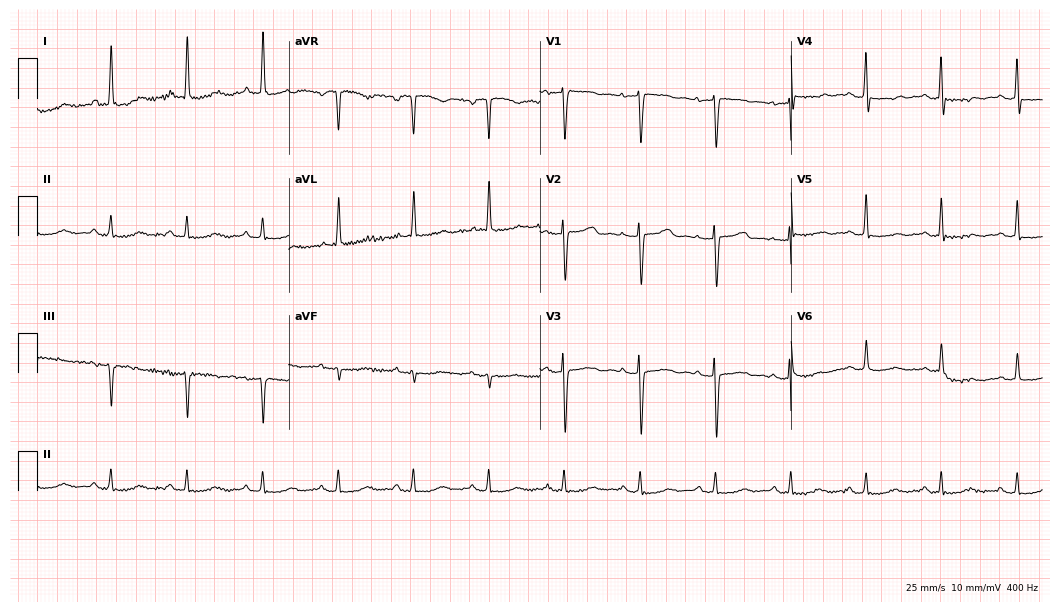
Standard 12-lead ECG recorded from a female, 78 years old (10.2-second recording at 400 Hz). None of these six findings is recorded: first-degree AV block, right bundle branch block (RBBB), left bundle branch block (LBBB), sinus bradycardia, atrial fibrillation (AF), sinus tachycardia.